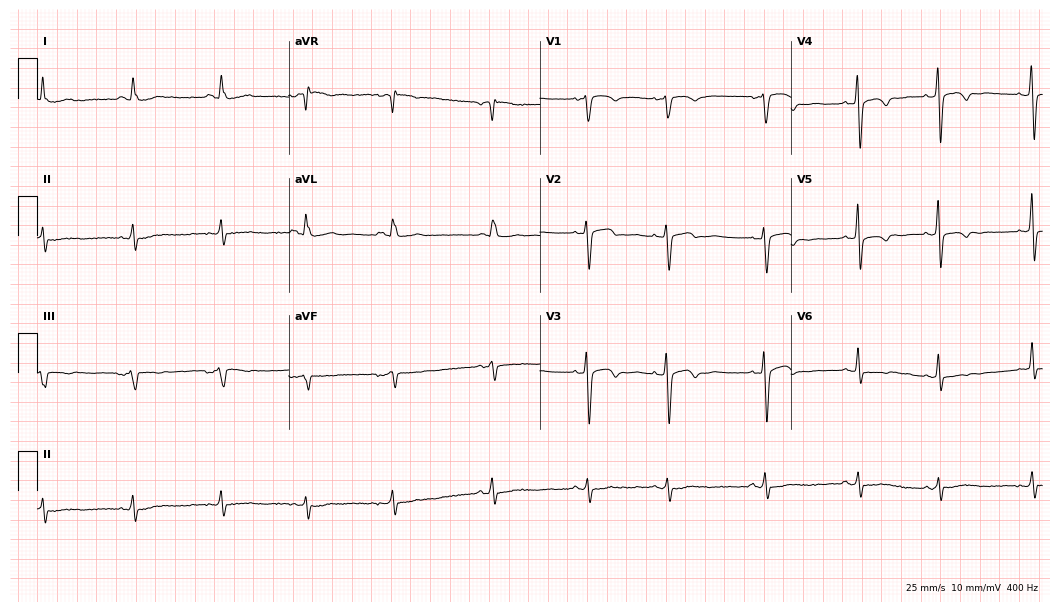
12-lead ECG from a female, 51 years old. No first-degree AV block, right bundle branch block, left bundle branch block, sinus bradycardia, atrial fibrillation or sinus tachycardia recorded for this tracing.